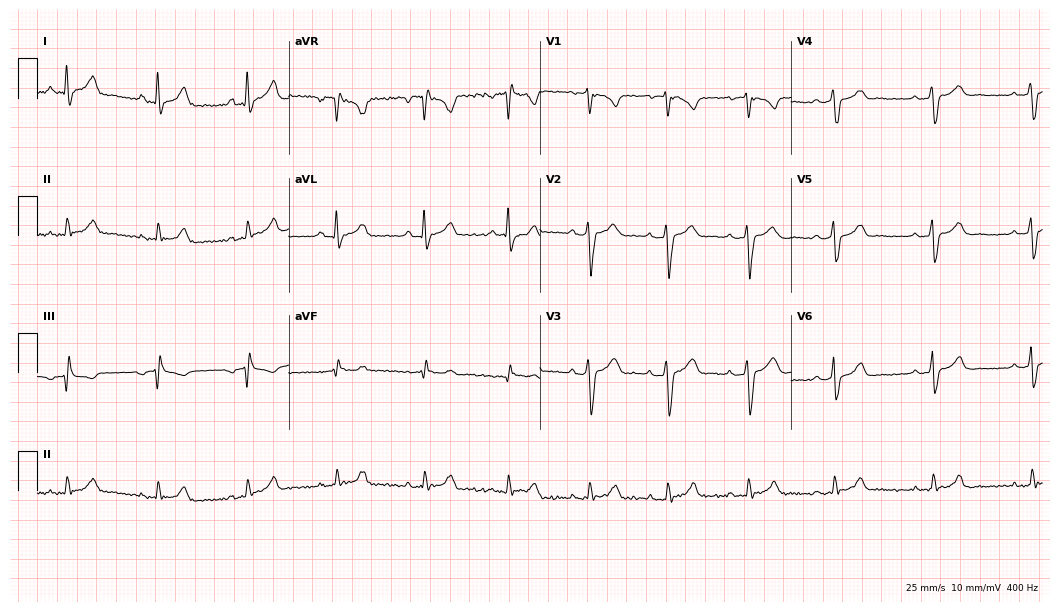
Electrocardiogram, a man, 42 years old. Of the six screened findings (first-degree AV block, right bundle branch block, left bundle branch block, sinus bradycardia, atrial fibrillation, sinus tachycardia), none is recorded.